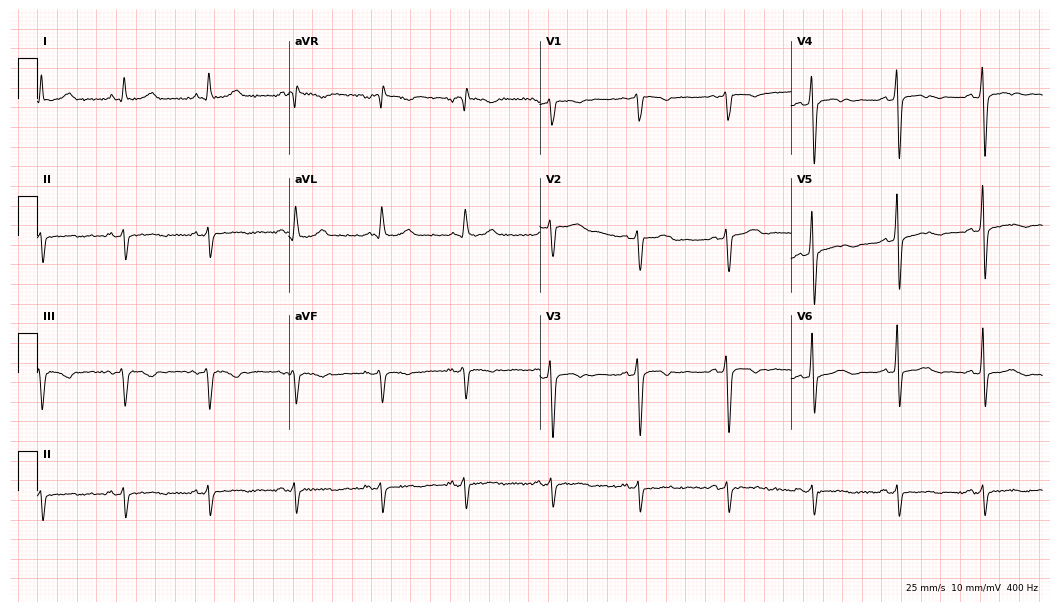
Resting 12-lead electrocardiogram (10.2-second recording at 400 Hz). Patient: a female, 57 years old. None of these six findings is recorded: first-degree AV block, right bundle branch block, left bundle branch block, sinus bradycardia, atrial fibrillation, sinus tachycardia. Only these six findings were labelled.